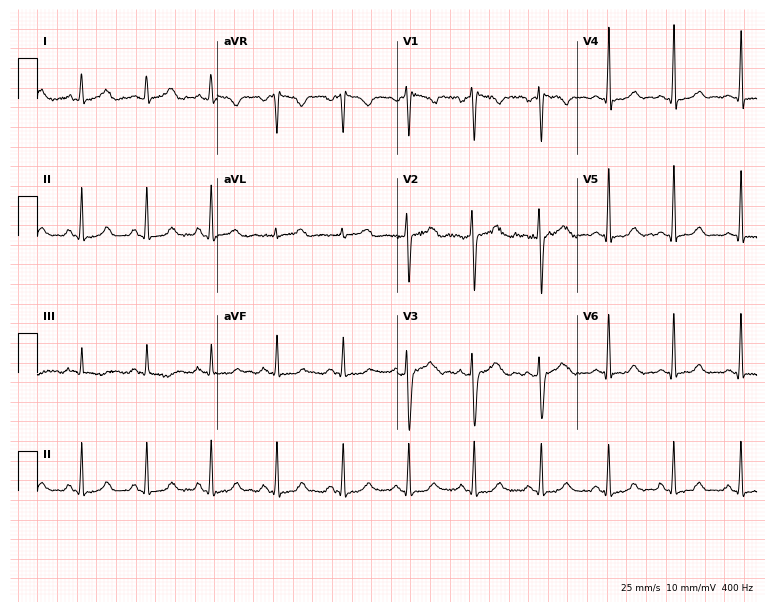
ECG — a 31-year-old woman. Screened for six findings — first-degree AV block, right bundle branch block, left bundle branch block, sinus bradycardia, atrial fibrillation, sinus tachycardia — none is recorded. Other findings, if any, are not listed.